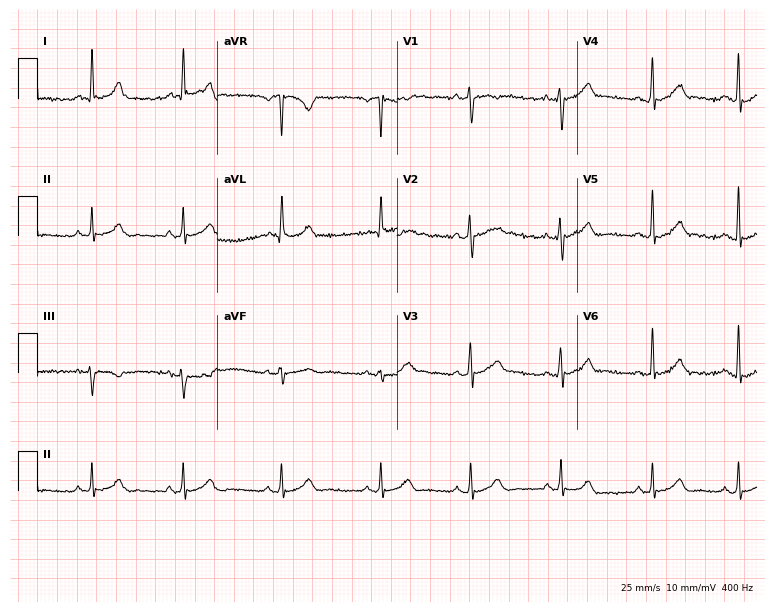
12-lead ECG from a male patient, 36 years old. Labelled as a normal ECG.